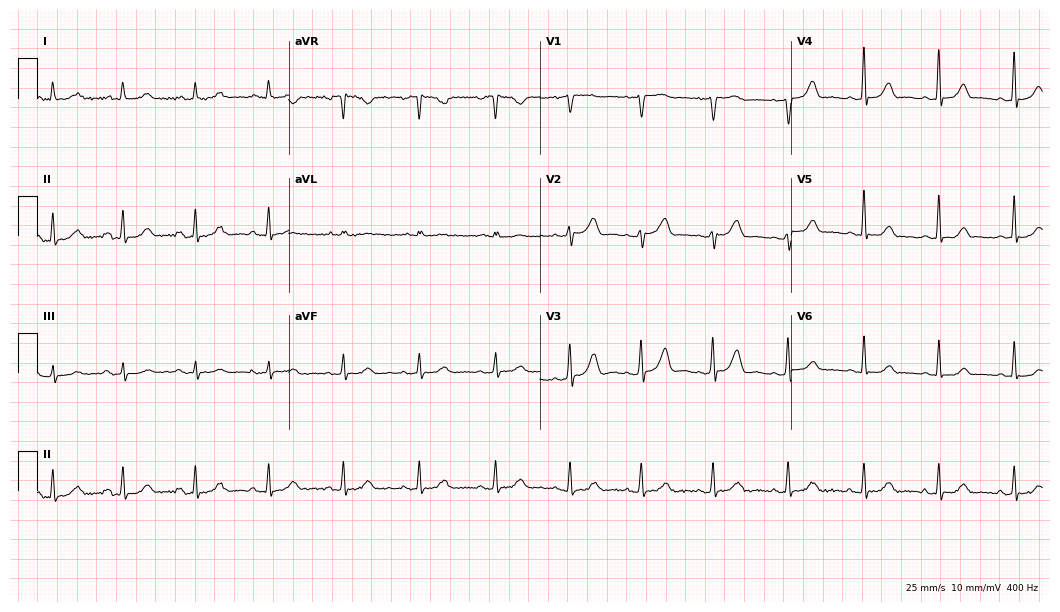
12-lead ECG from a female patient, 56 years old (10.2-second recording at 400 Hz). Recorded interpretation: within normal limits.